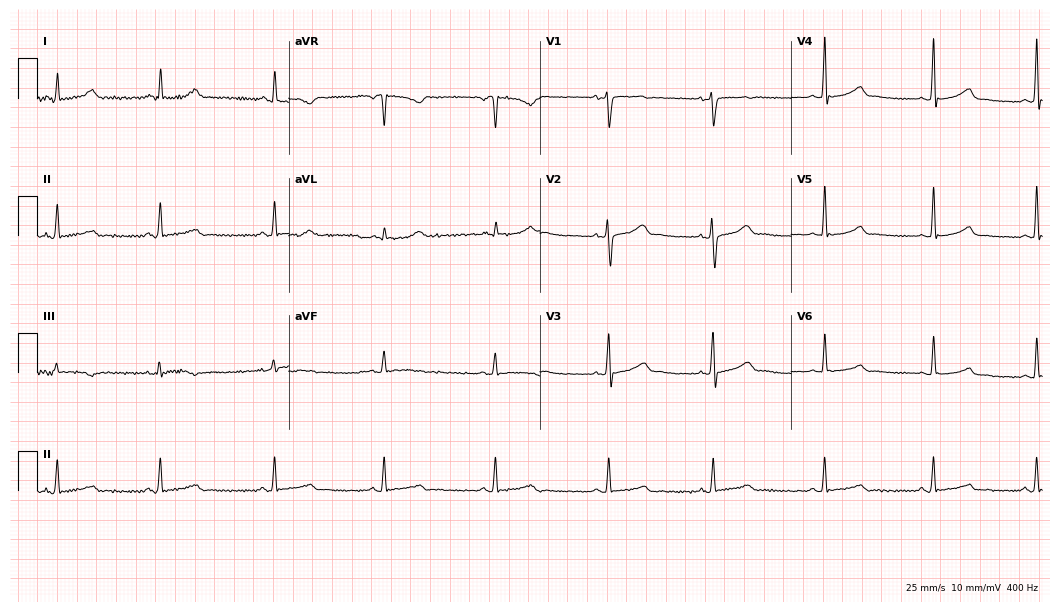
Resting 12-lead electrocardiogram (10.2-second recording at 400 Hz). Patient: a 46-year-old woman. None of these six findings is recorded: first-degree AV block, right bundle branch block, left bundle branch block, sinus bradycardia, atrial fibrillation, sinus tachycardia.